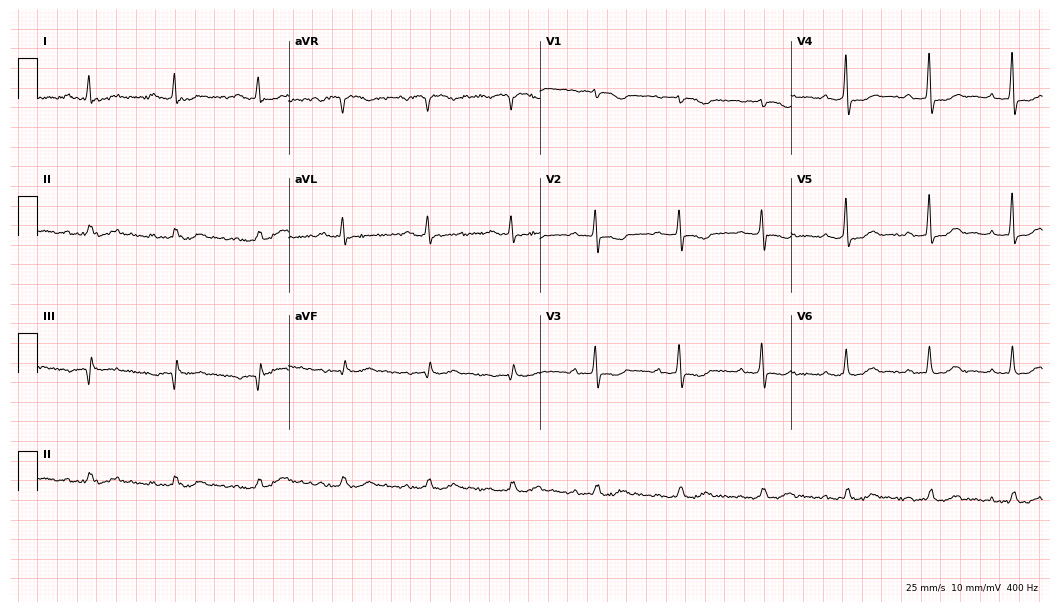
12-lead ECG from a 74-year-old male. Screened for six findings — first-degree AV block, right bundle branch block, left bundle branch block, sinus bradycardia, atrial fibrillation, sinus tachycardia — none is recorded. Only these six findings were labelled.